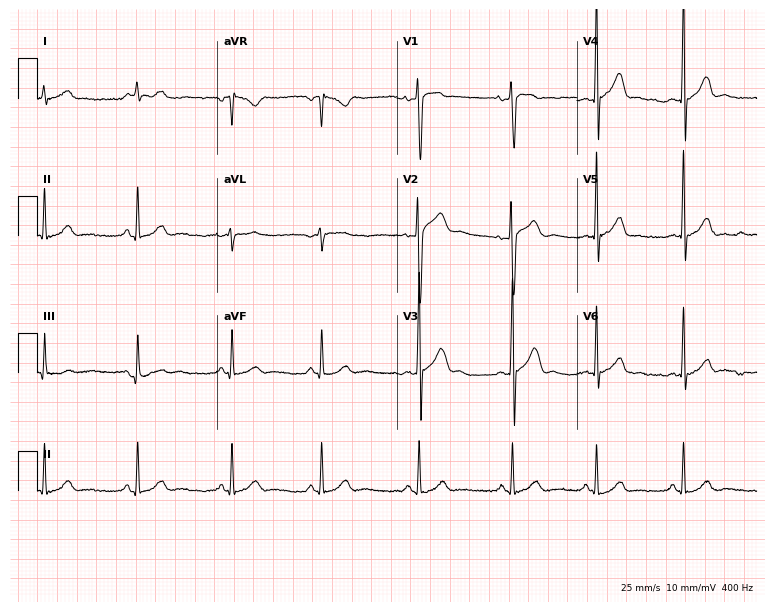
12-lead ECG (7.3-second recording at 400 Hz) from a male, 20 years old. Labelled as a normal ECG.